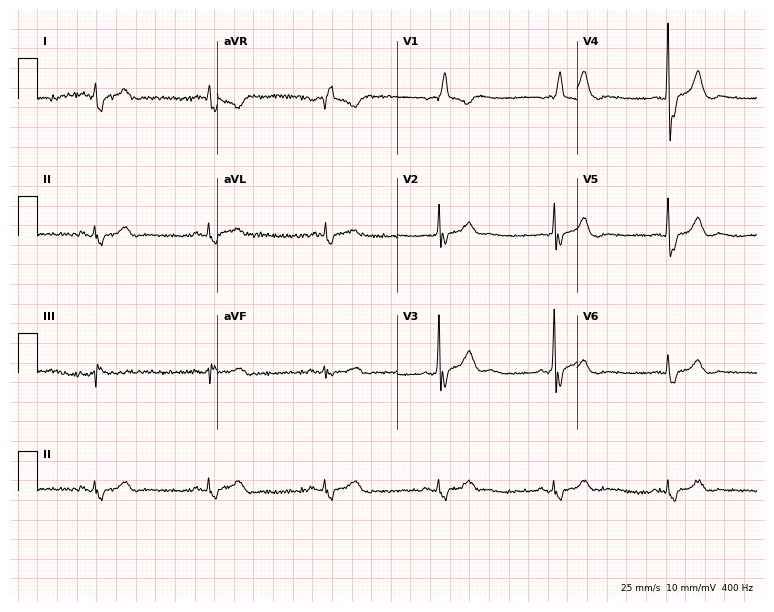
ECG — a male patient, 63 years old. Findings include right bundle branch block (RBBB).